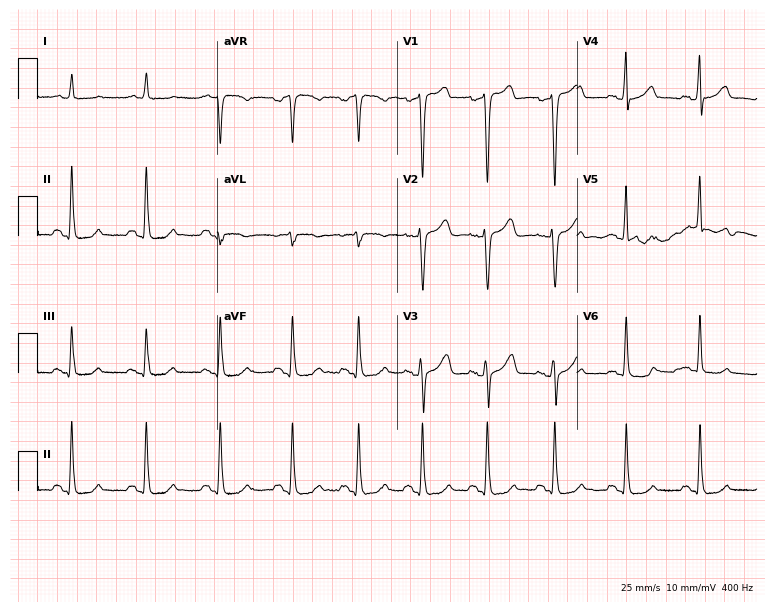
Electrocardiogram, a 58-year-old male patient. Of the six screened findings (first-degree AV block, right bundle branch block (RBBB), left bundle branch block (LBBB), sinus bradycardia, atrial fibrillation (AF), sinus tachycardia), none is recorded. Findings outside these six are not listed.